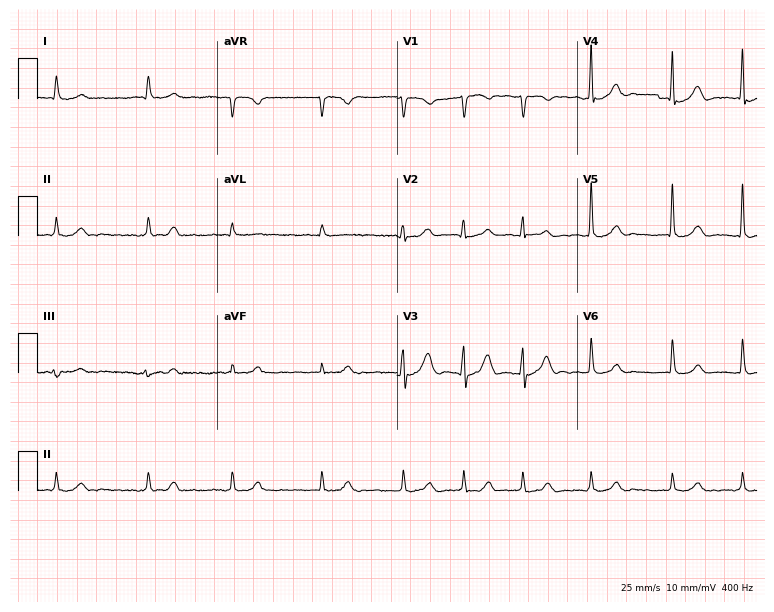
Electrocardiogram, an 85-year-old male. Interpretation includes atrial fibrillation.